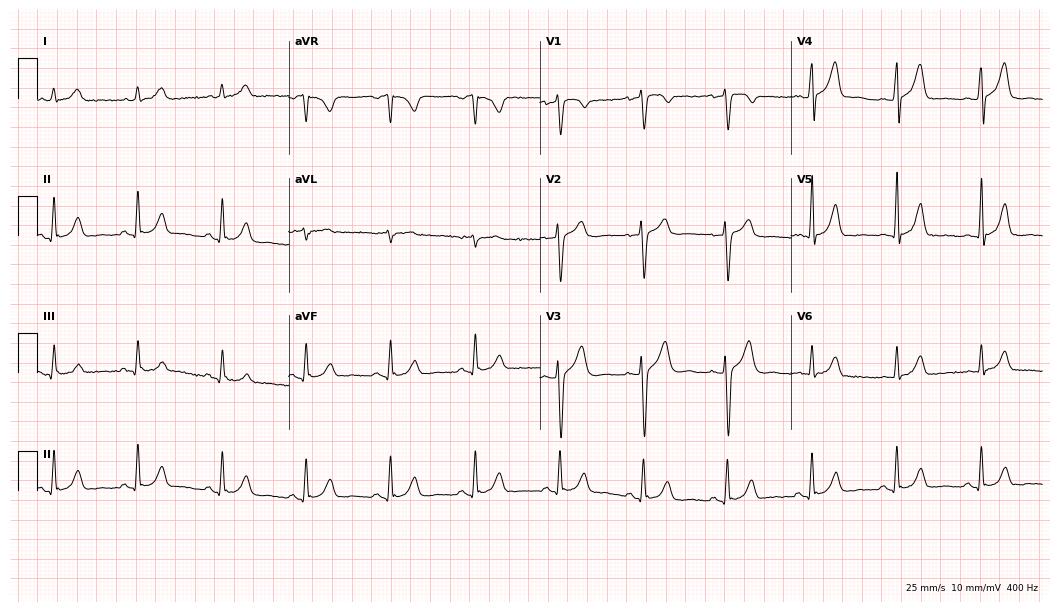
Resting 12-lead electrocardiogram (10.2-second recording at 400 Hz). Patient: a male, 34 years old. Read as a normal ECG.